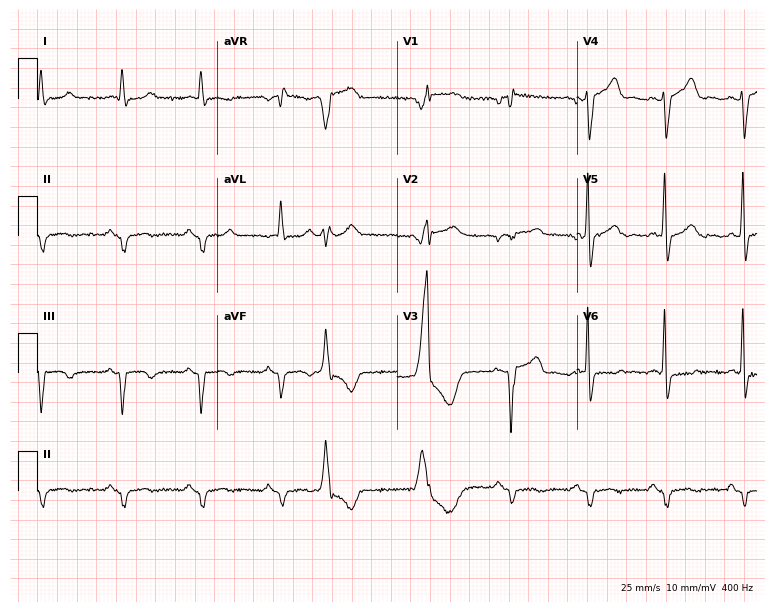
Electrocardiogram, an 84-year-old man. Of the six screened findings (first-degree AV block, right bundle branch block (RBBB), left bundle branch block (LBBB), sinus bradycardia, atrial fibrillation (AF), sinus tachycardia), none is recorded.